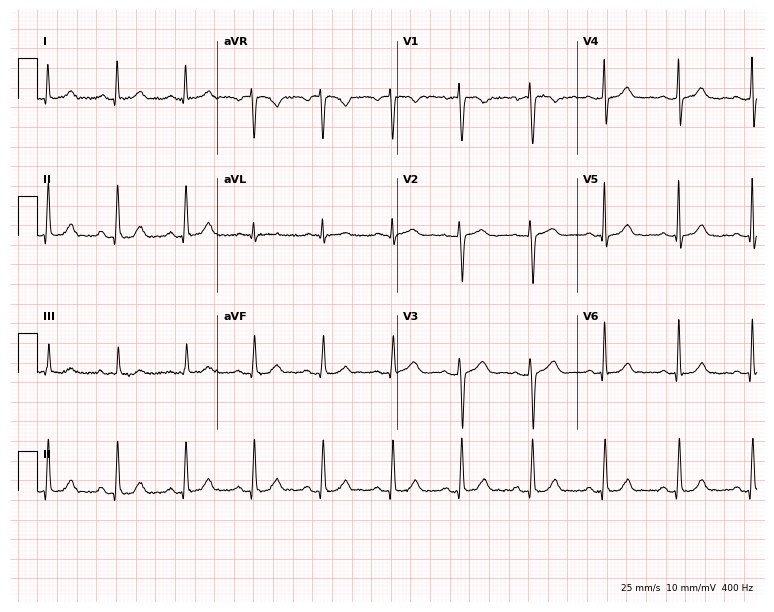
Electrocardiogram (7.3-second recording at 400 Hz), a female, 36 years old. Overall reading on record: normal ECG.